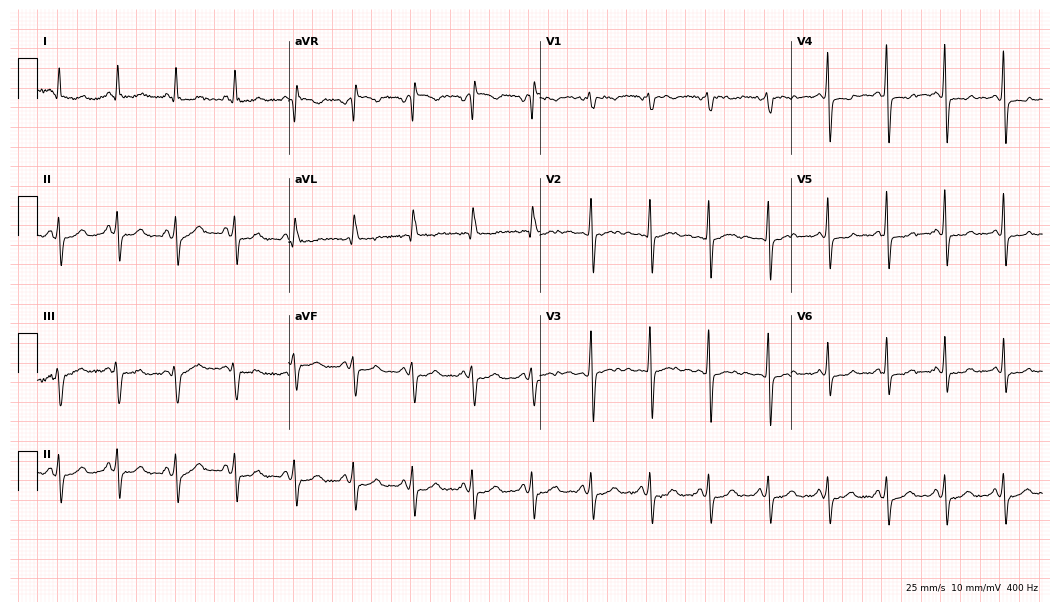
Standard 12-lead ECG recorded from a 42-year-old female (10.2-second recording at 400 Hz). None of these six findings is recorded: first-degree AV block, right bundle branch block, left bundle branch block, sinus bradycardia, atrial fibrillation, sinus tachycardia. Findings outside these six are not listed.